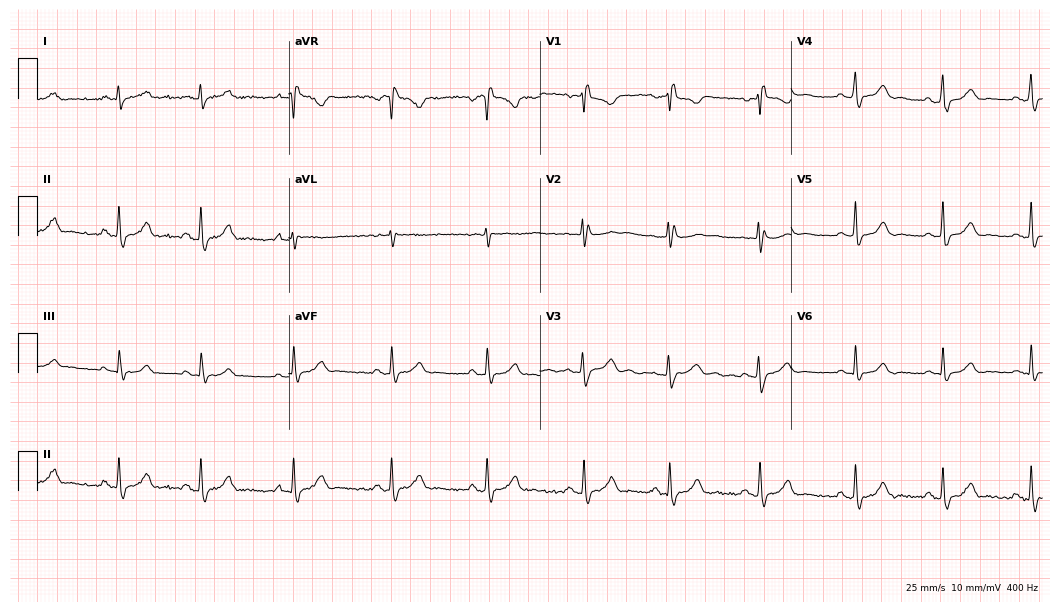
Standard 12-lead ECG recorded from a 29-year-old female patient (10.2-second recording at 400 Hz). The tracing shows right bundle branch block.